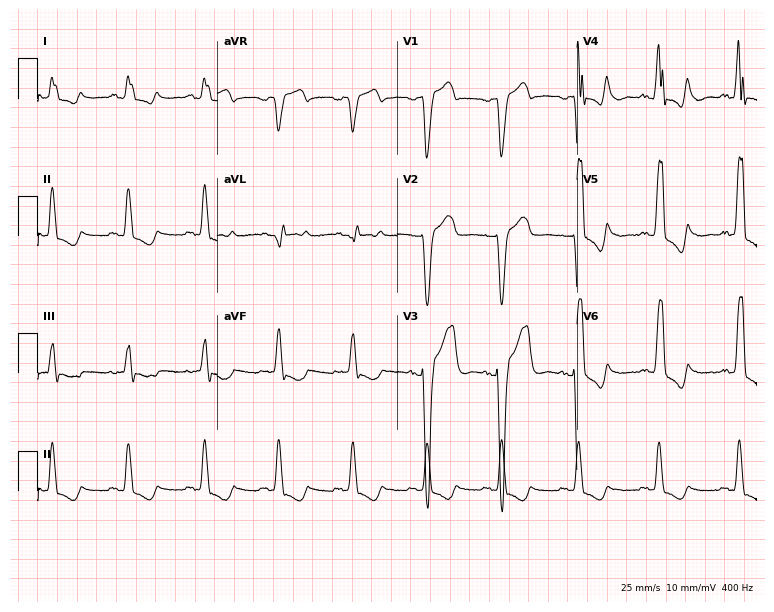
12-lead ECG from a male, 58 years old (7.3-second recording at 400 Hz). Shows left bundle branch block (LBBB).